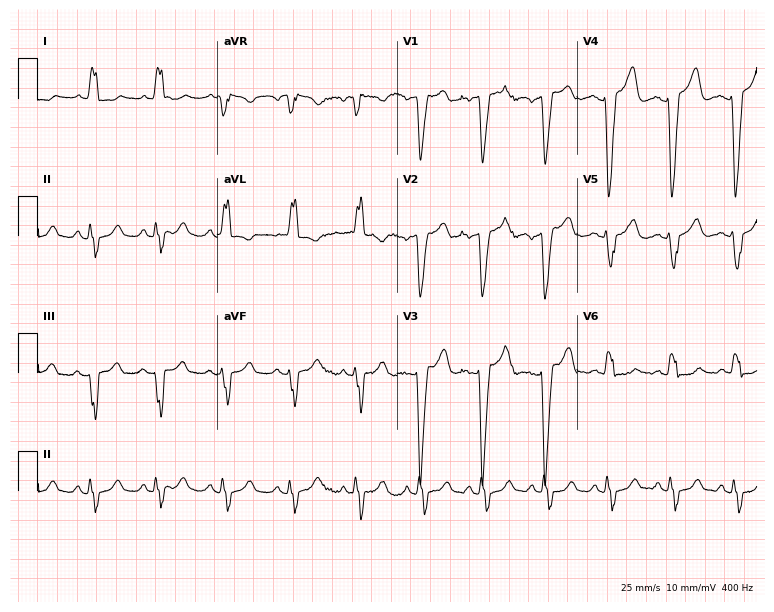
ECG (7.3-second recording at 400 Hz) — a female, 43 years old. Findings include left bundle branch block (LBBB).